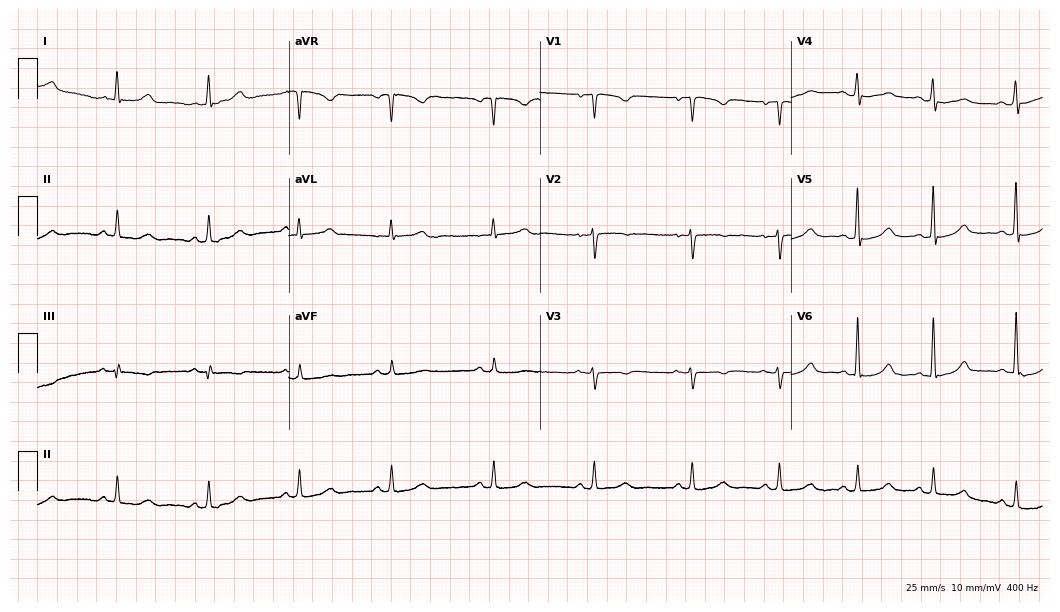
ECG — a 45-year-old female patient. Screened for six findings — first-degree AV block, right bundle branch block, left bundle branch block, sinus bradycardia, atrial fibrillation, sinus tachycardia — none is recorded.